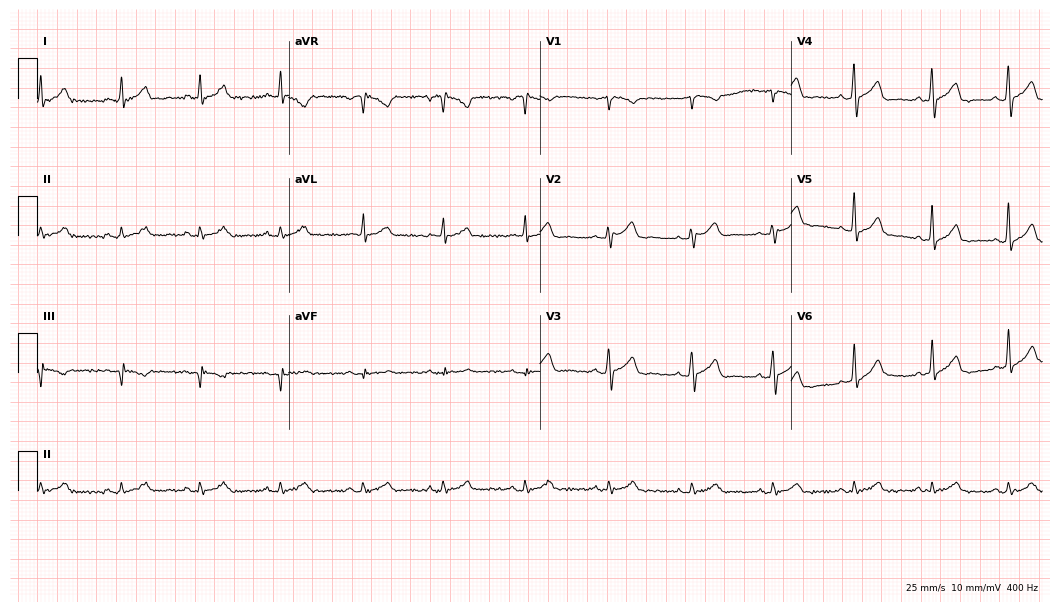
ECG — a 51-year-old man. Labelled as a normal ECG.